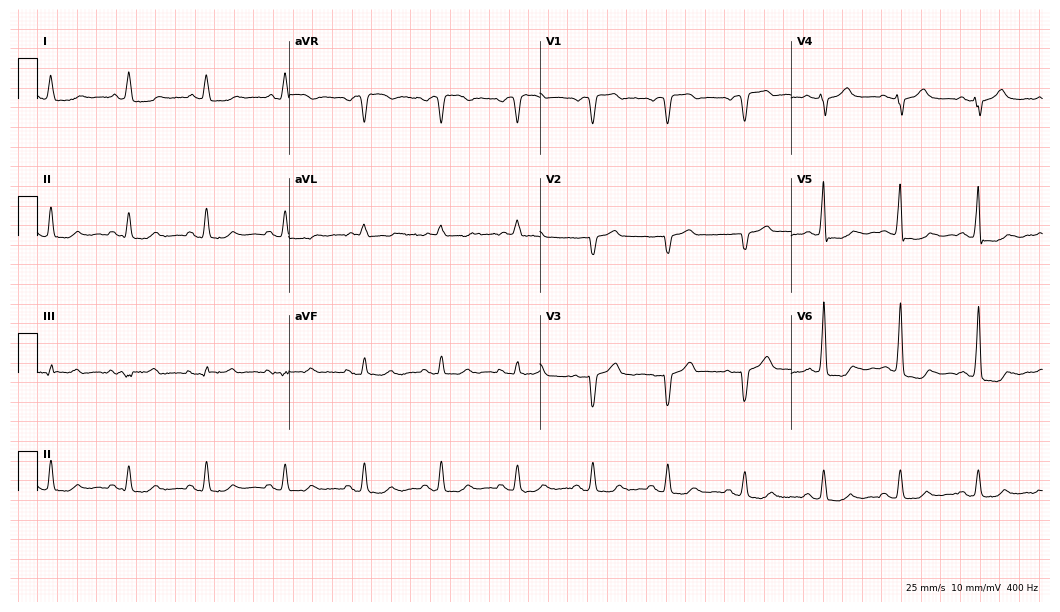
Standard 12-lead ECG recorded from a male patient, 72 years old (10.2-second recording at 400 Hz). None of these six findings is recorded: first-degree AV block, right bundle branch block, left bundle branch block, sinus bradycardia, atrial fibrillation, sinus tachycardia.